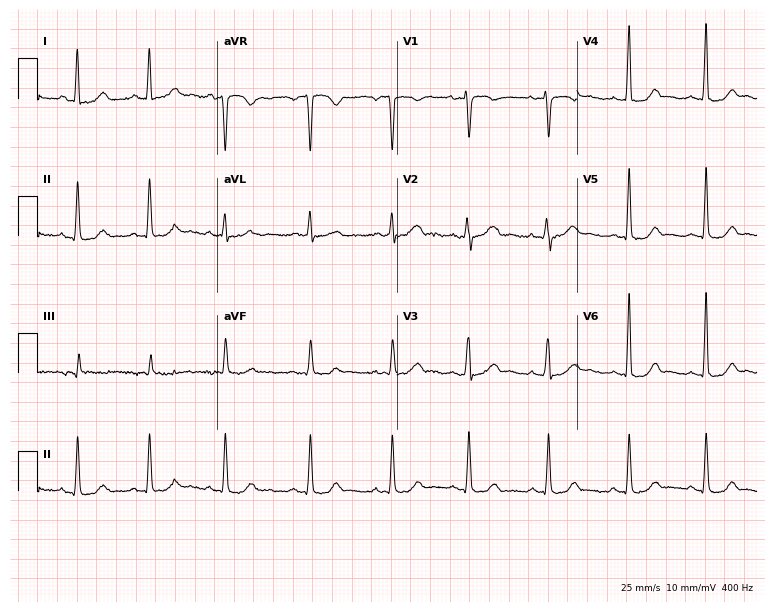
12-lead ECG from a female, 34 years old. Recorded interpretation: within normal limits.